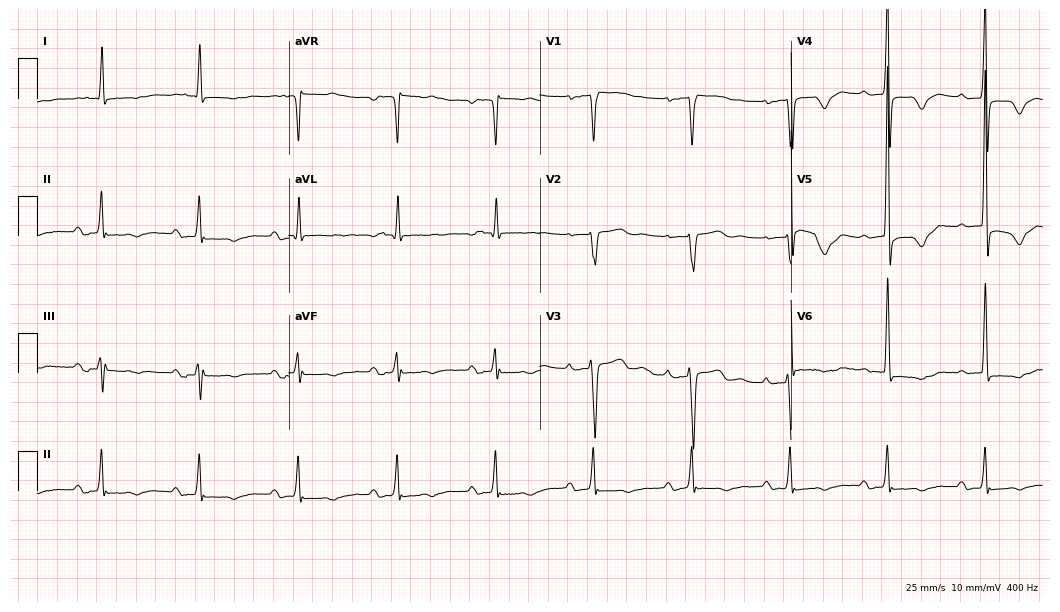
12-lead ECG from an 80-year-old male. Screened for six findings — first-degree AV block, right bundle branch block (RBBB), left bundle branch block (LBBB), sinus bradycardia, atrial fibrillation (AF), sinus tachycardia — none is recorded. Findings outside these six are not listed.